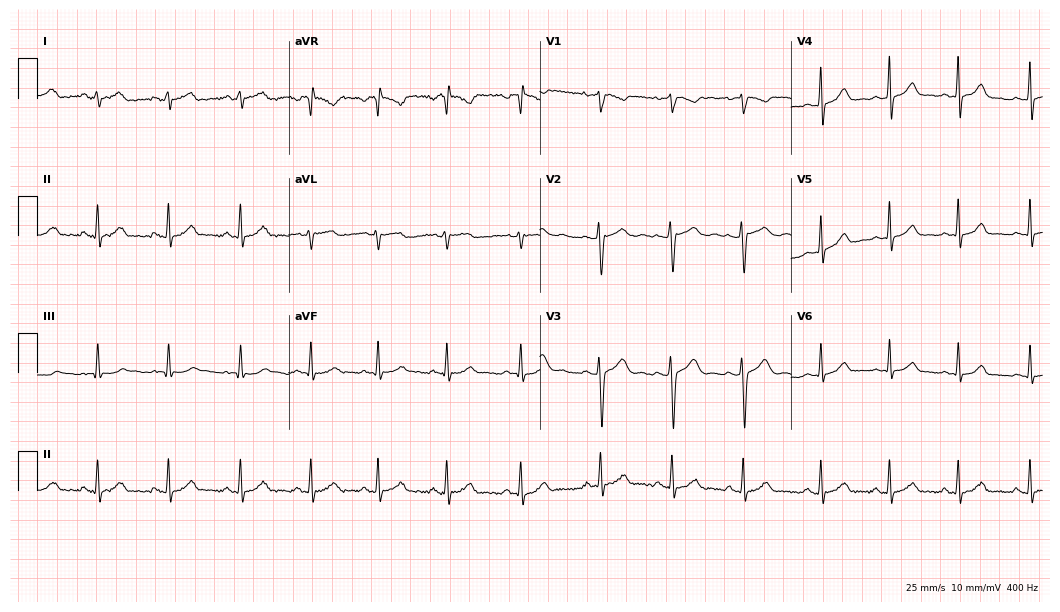
12-lead ECG from an 18-year-old female. Labelled as a normal ECG.